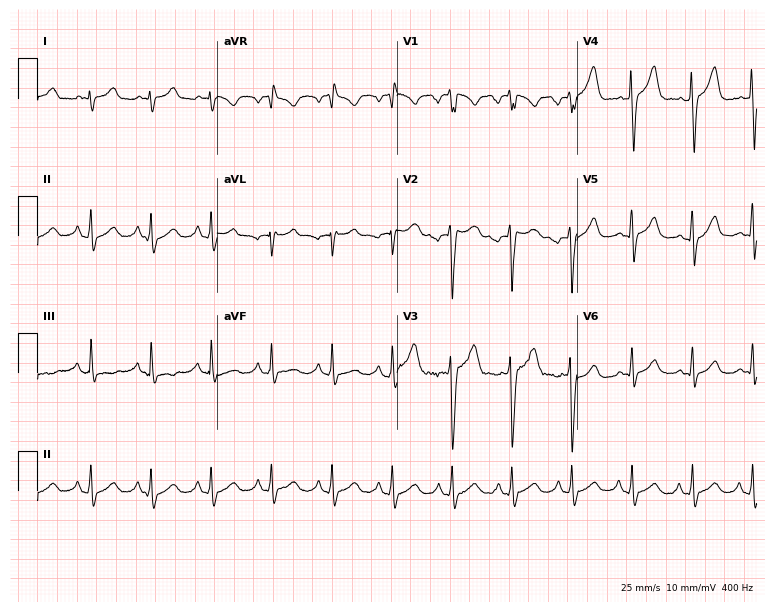
ECG — a man, 20 years old. Screened for six findings — first-degree AV block, right bundle branch block, left bundle branch block, sinus bradycardia, atrial fibrillation, sinus tachycardia — none is recorded.